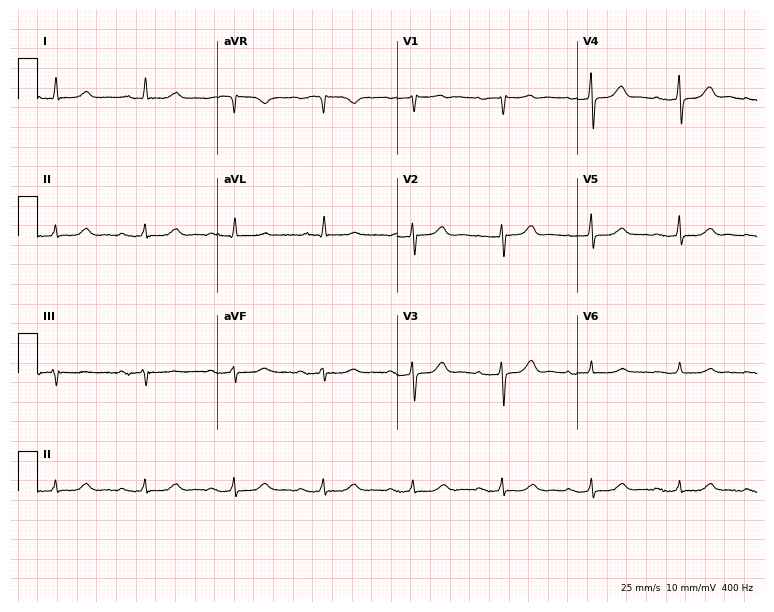
Resting 12-lead electrocardiogram. Patient: a female, 76 years old. The tracing shows first-degree AV block.